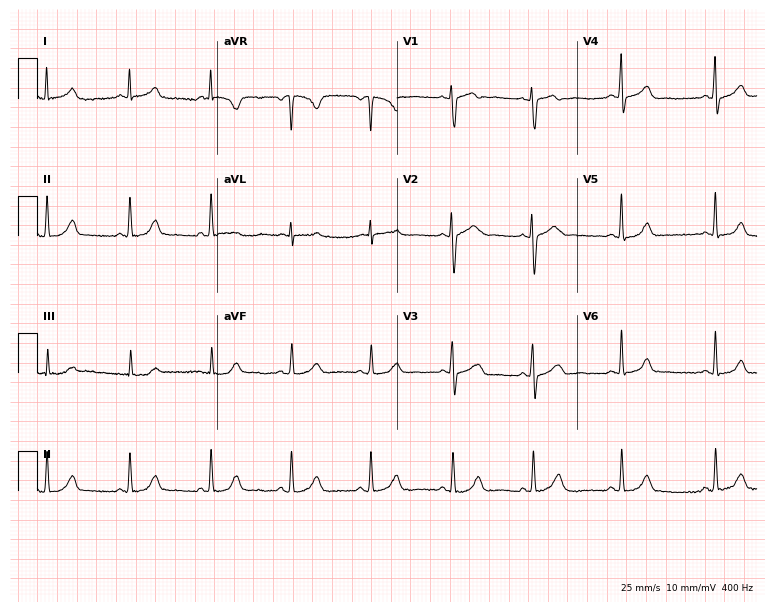
12-lead ECG from a female patient, 51 years old. Labelled as a normal ECG.